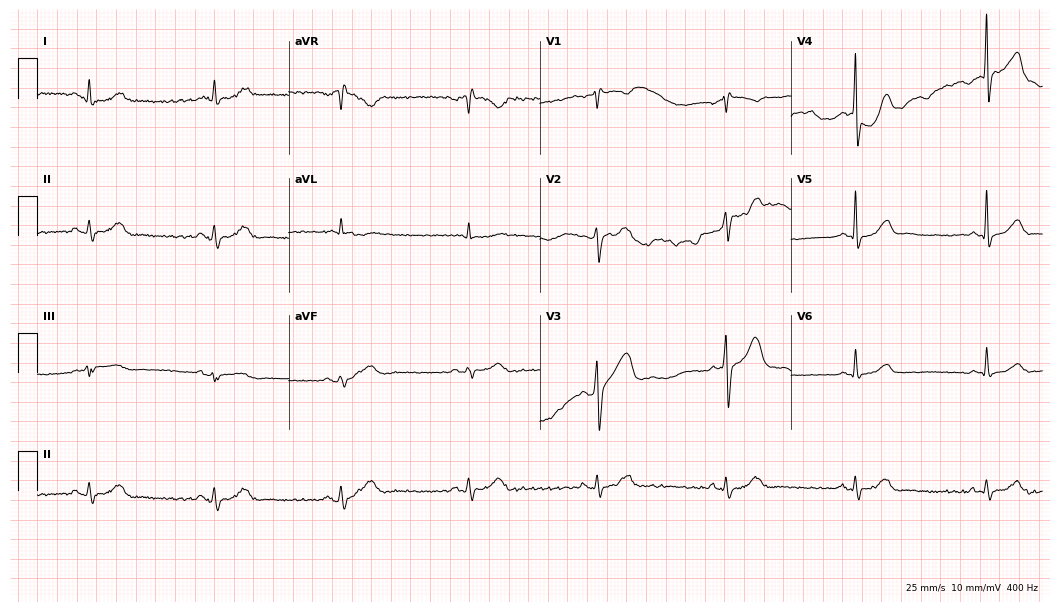
Resting 12-lead electrocardiogram (10.2-second recording at 400 Hz). Patient: a male, 62 years old. The tracing shows sinus bradycardia (a sinus rate of 50 beats per minute or less).